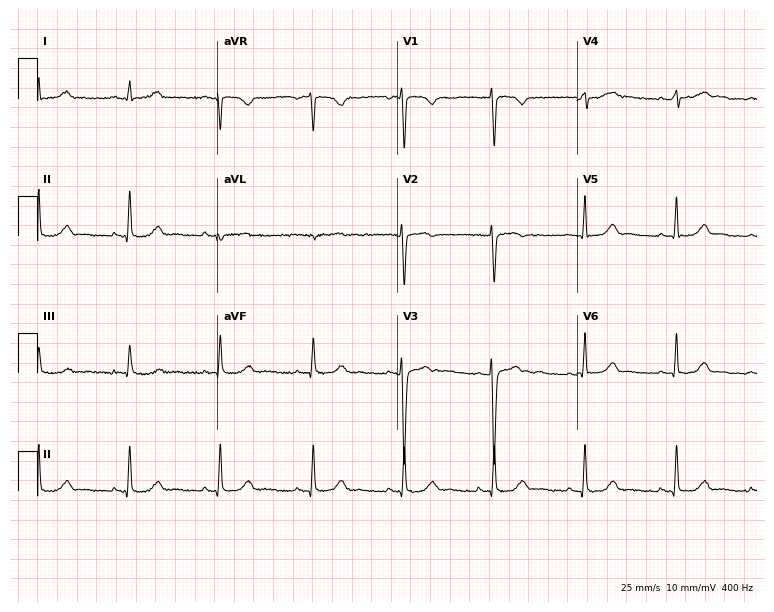
12-lead ECG from a 30-year-old woman. Labelled as a normal ECG.